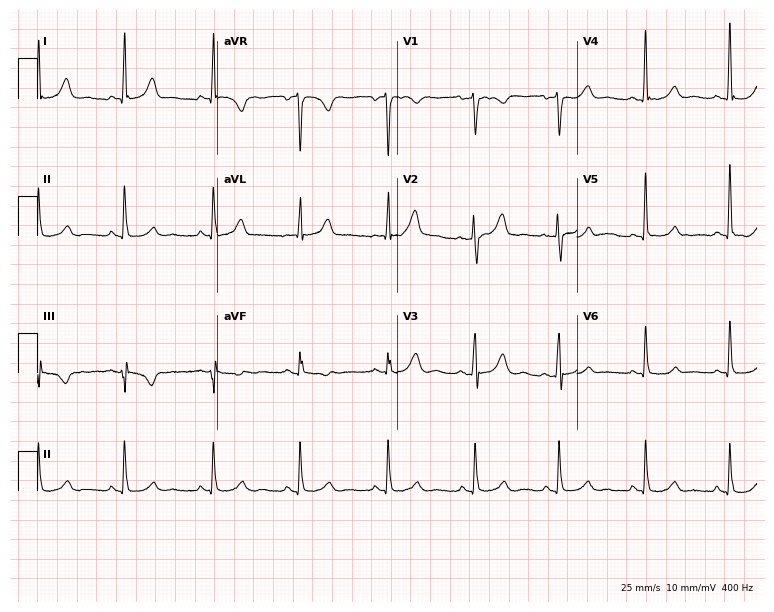
12-lead ECG from a 58-year-old female. Labelled as a normal ECG.